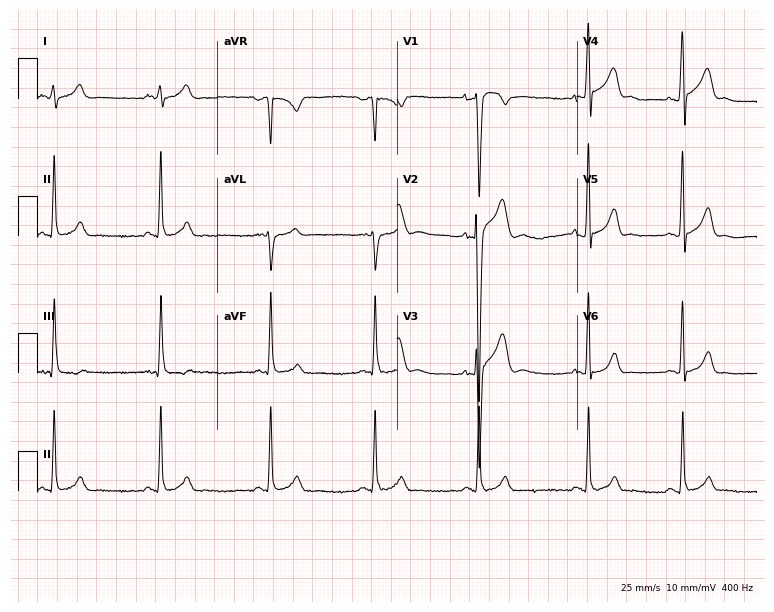
Electrocardiogram (7.3-second recording at 400 Hz), a female, 23 years old. Overall reading on record: normal ECG.